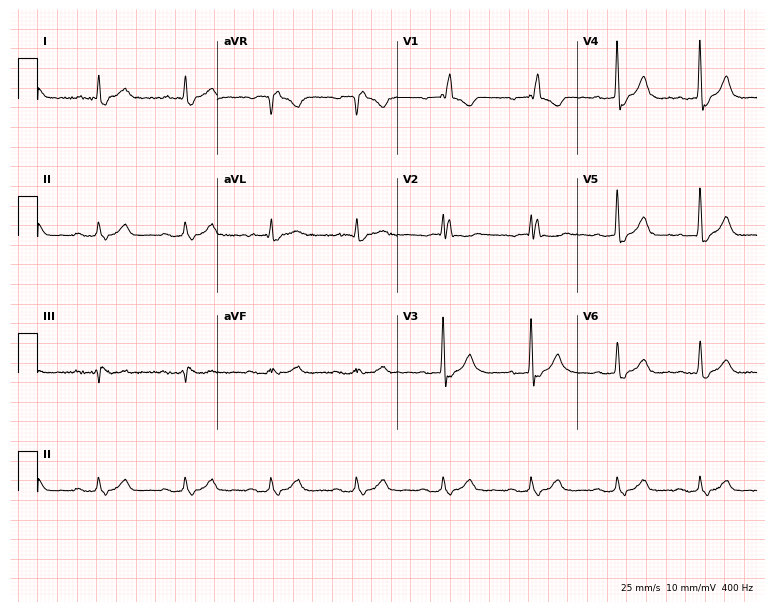
Resting 12-lead electrocardiogram (7.3-second recording at 400 Hz). Patient: a 73-year-old male. The tracing shows right bundle branch block.